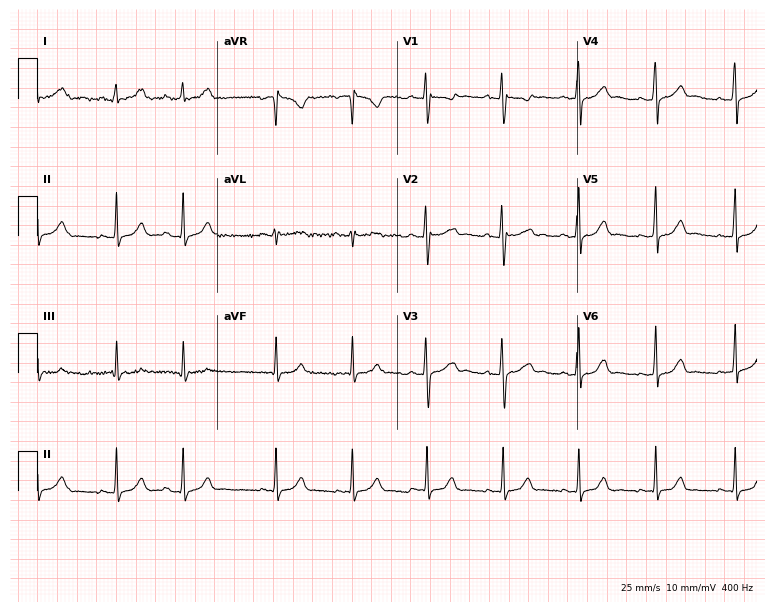
12-lead ECG from a 23-year-old woman. Screened for six findings — first-degree AV block, right bundle branch block, left bundle branch block, sinus bradycardia, atrial fibrillation, sinus tachycardia — none is recorded.